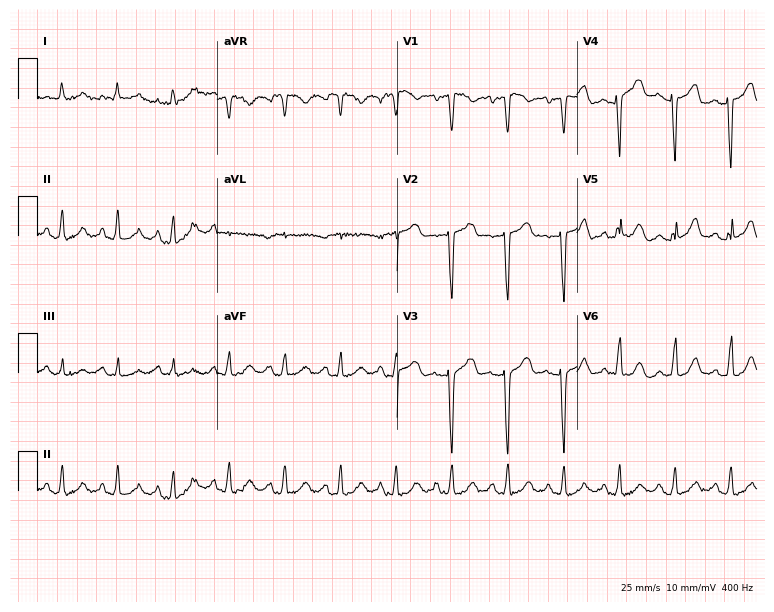
Standard 12-lead ECG recorded from a 73-year-old woman. The tracing shows sinus tachycardia (a sinus rate of 100 beats per minute or more).